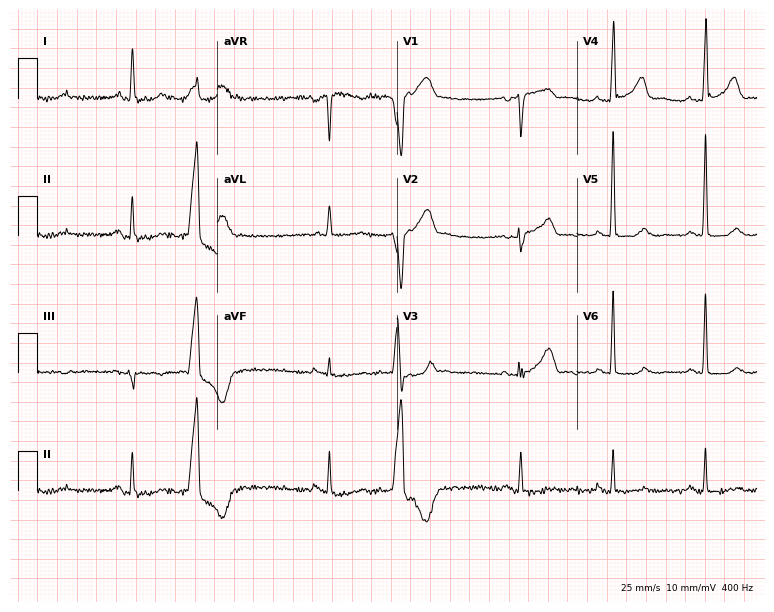
Standard 12-lead ECG recorded from a male, 78 years old (7.3-second recording at 400 Hz). None of these six findings is recorded: first-degree AV block, right bundle branch block, left bundle branch block, sinus bradycardia, atrial fibrillation, sinus tachycardia.